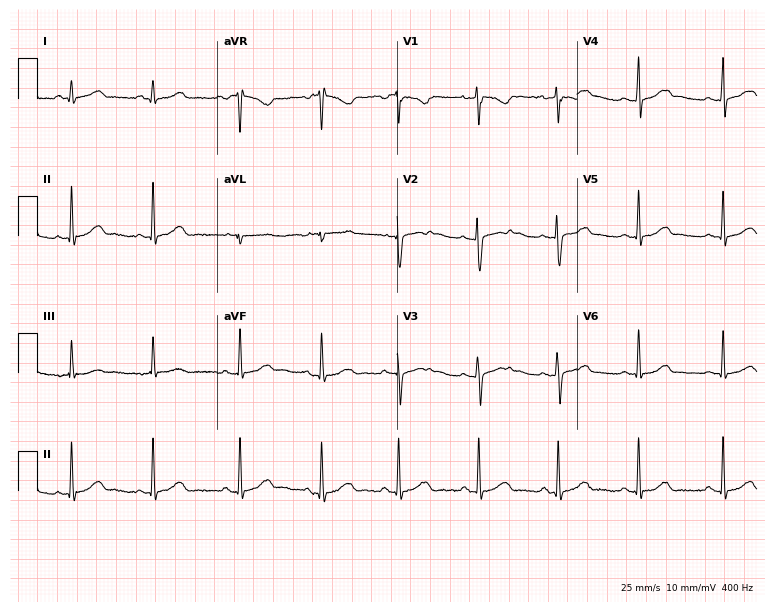
12-lead ECG from an 18-year-old female (7.3-second recording at 400 Hz). Recorded interpretation: within normal limits.